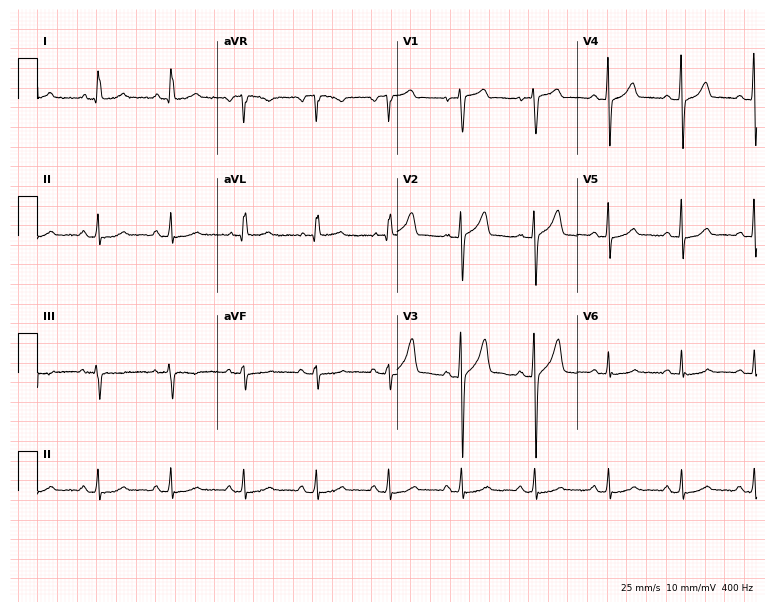
12-lead ECG from a man, 53 years old (7.3-second recording at 400 Hz). Recorded interpretation: within normal limits.